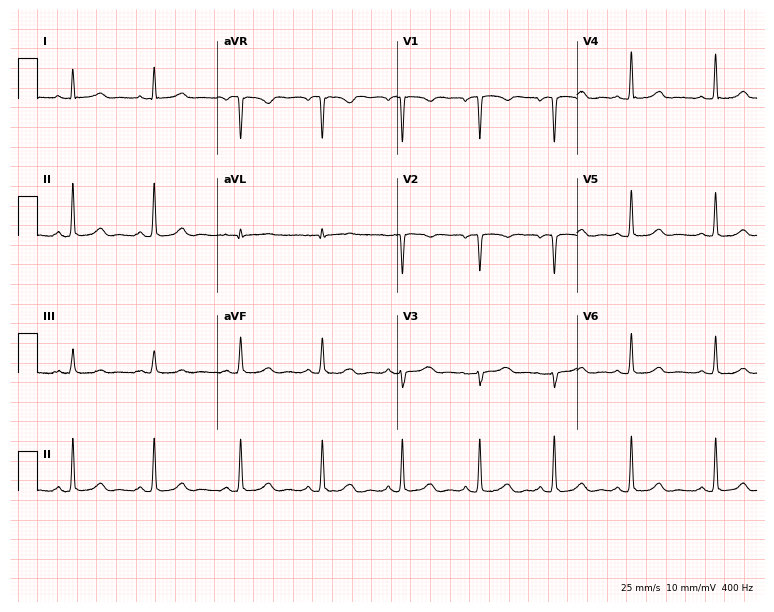
Standard 12-lead ECG recorded from a 51-year-old woman (7.3-second recording at 400 Hz). None of these six findings is recorded: first-degree AV block, right bundle branch block (RBBB), left bundle branch block (LBBB), sinus bradycardia, atrial fibrillation (AF), sinus tachycardia.